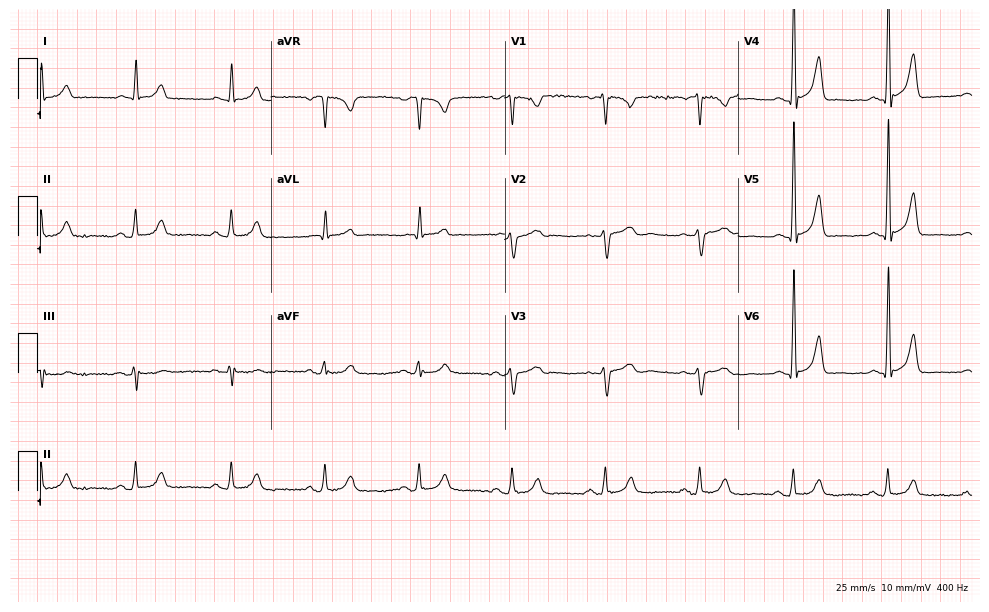
12-lead ECG from a 69-year-old male (9.5-second recording at 400 Hz). No first-degree AV block, right bundle branch block, left bundle branch block, sinus bradycardia, atrial fibrillation or sinus tachycardia recorded for this tracing. Other findings, if any, are not listed.